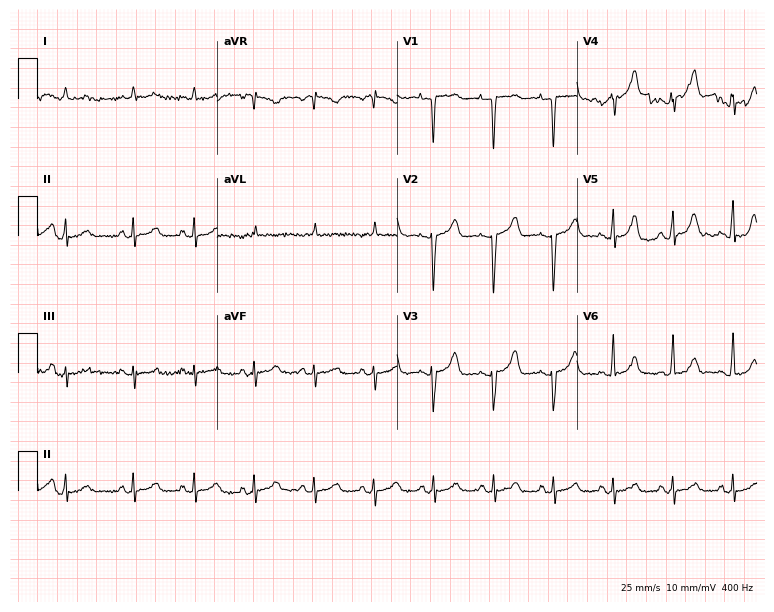
Standard 12-lead ECG recorded from a female, 69 years old (7.3-second recording at 400 Hz). None of these six findings is recorded: first-degree AV block, right bundle branch block (RBBB), left bundle branch block (LBBB), sinus bradycardia, atrial fibrillation (AF), sinus tachycardia.